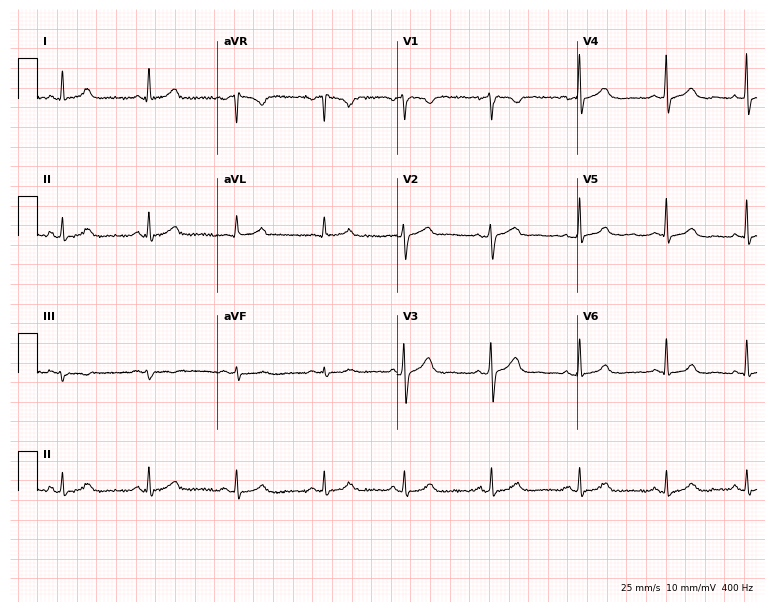
Electrocardiogram (7.3-second recording at 400 Hz), a female, 40 years old. Overall reading on record: normal ECG.